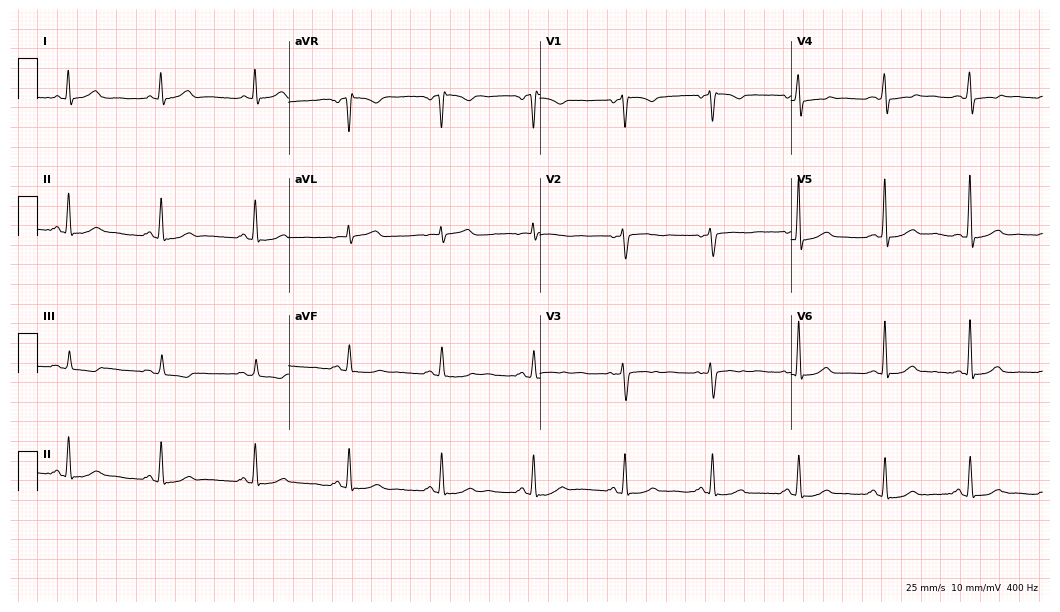
ECG (10.2-second recording at 400 Hz) — a 51-year-old woman. Screened for six findings — first-degree AV block, right bundle branch block, left bundle branch block, sinus bradycardia, atrial fibrillation, sinus tachycardia — none is recorded.